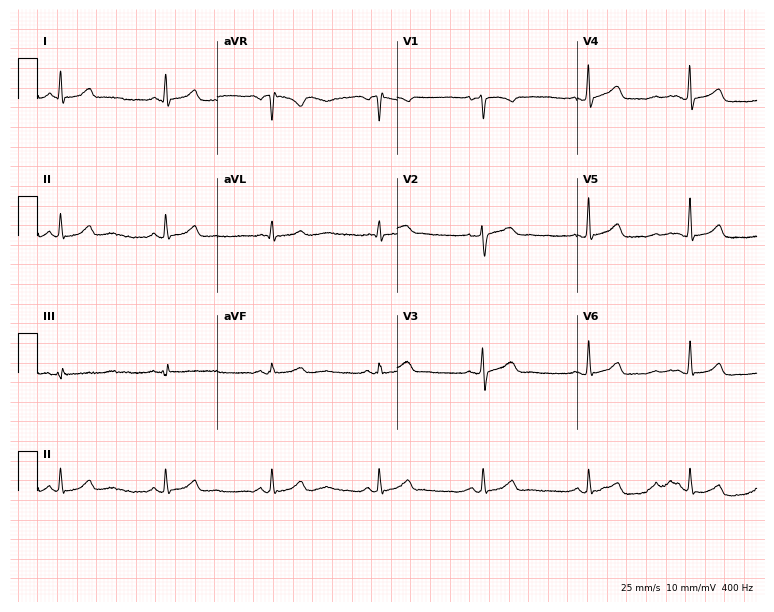
12-lead ECG (7.3-second recording at 400 Hz) from a woman, 45 years old. Screened for six findings — first-degree AV block, right bundle branch block, left bundle branch block, sinus bradycardia, atrial fibrillation, sinus tachycardia — none is recorded.